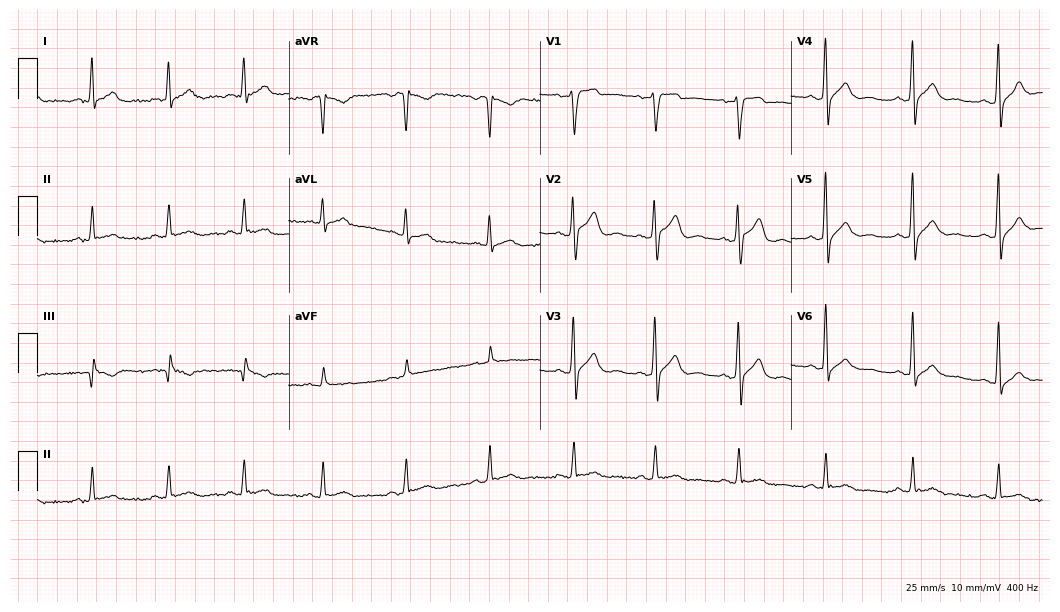
12-lead ECG from a 34-year-old man (10.2-second recording at 400 Hz). Recorded interpretation: within normal limits.